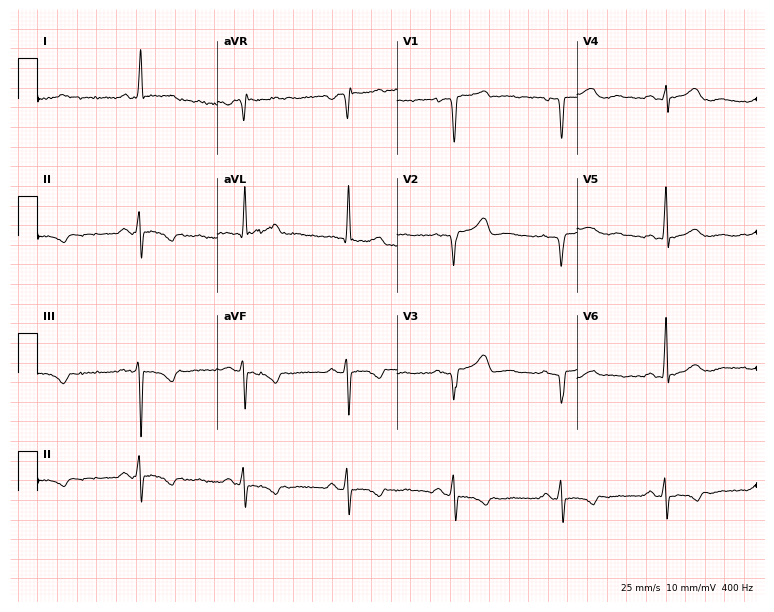
12-lead ECG from a woman, 53 years old. No first-degree AV block, right bundle branch block, left bundle branch block, sinus bradycardia, atrial fibrillation or sinus tachycardia recorded for this tracing.